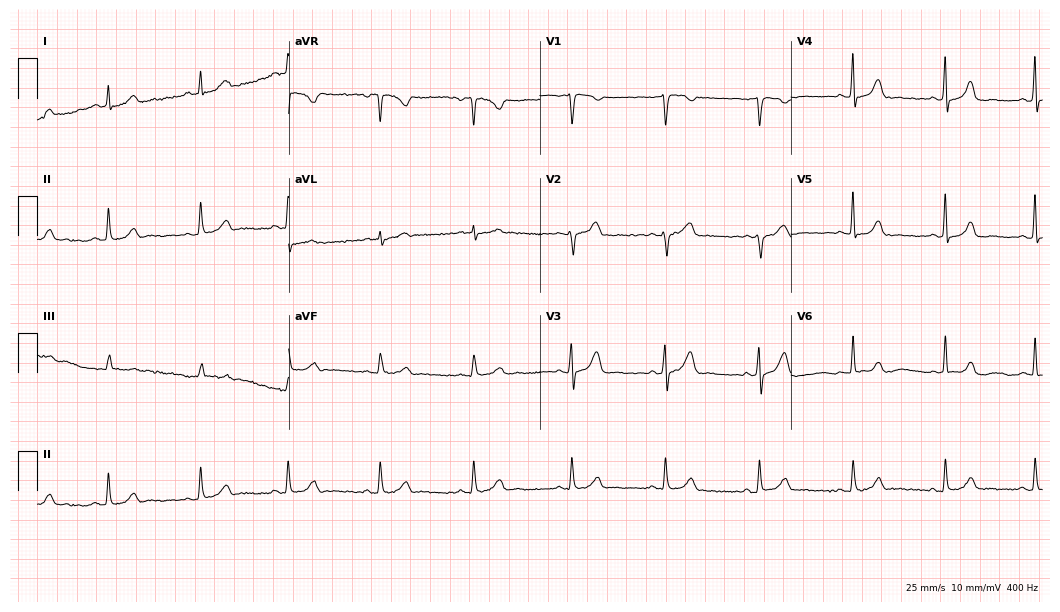
12-lead ECG from a 54-year-old female patient. Labelled as a normal ECG.